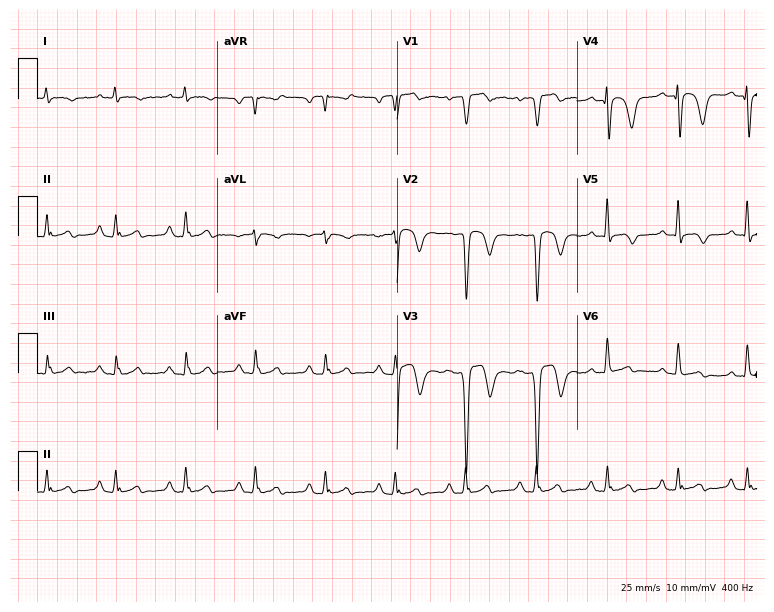
12-lead ECG (7.3-second recording at 400 Hz) from a 61-year-old male. Screened for six findings — first-degree AV block, right bundle branch block, left bundle branch block, sinus bradycardia, atrial fibrillation, sinus tachycardia — none is recorded. Findings outside these six are not listed.